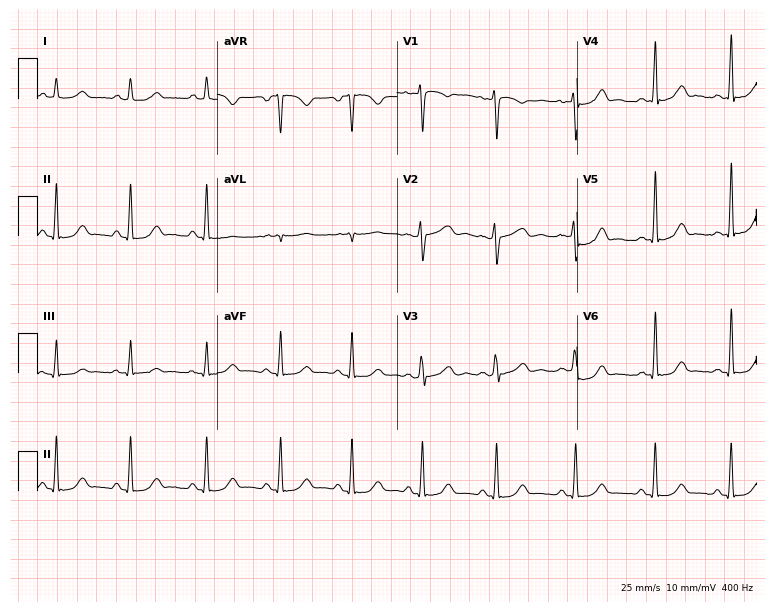
Electrocardiogram, a male, 69 years old. Of the six screened findings (first-degree AV block, right bundle branch block (RBBB), left bundle branch block (LBBB), sinus bradycardia, atrial fibrillation (AF), sinus tachycardia), none is recorded.